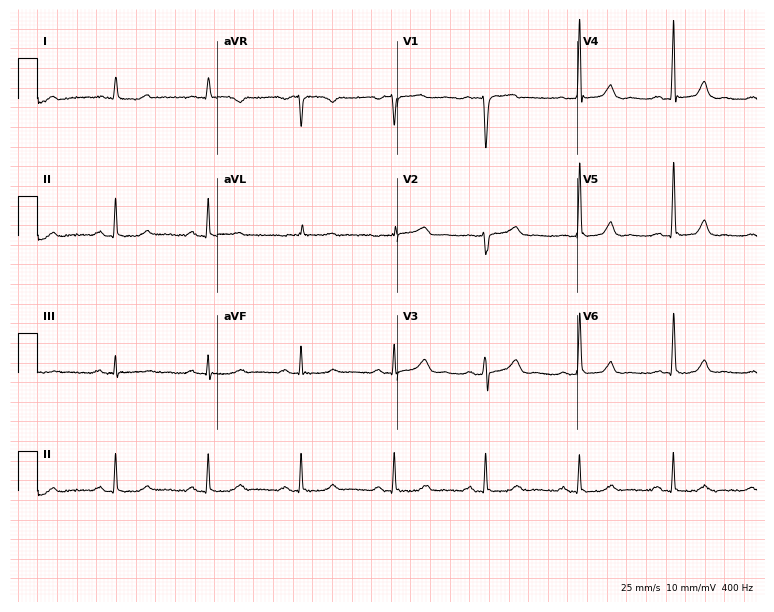
Resting 12-lead electrocardiogram (7.3-second recording at 400 Hz). Patient: a 78-year-old male. None of these six findings is recorded: first-degree AV block, right bundle branch block, left bundle branch block, sinus bradycardia, atrial fibrillation, sinus tachycardia.